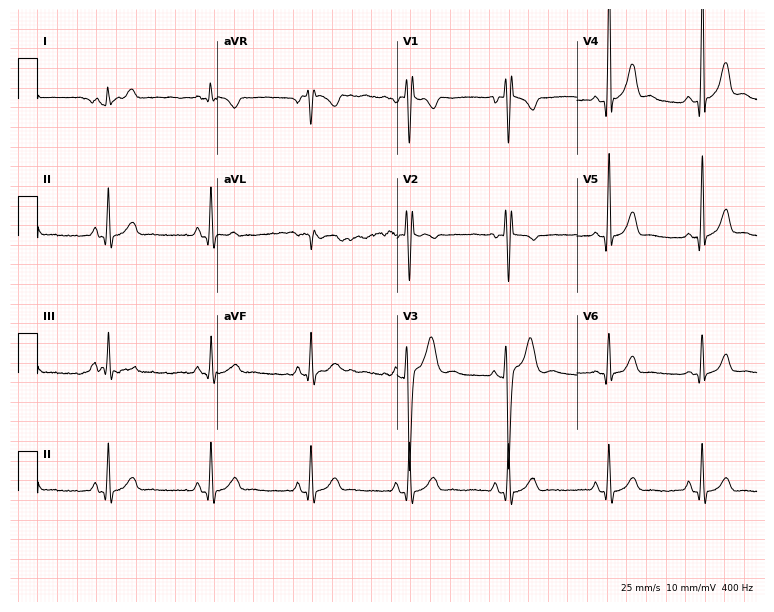
Standard 12-lead ECG recorded from a man, 19 years old. None of these six findings is recorded: first-degree AV block, right bundle branch block, left bundle branch block, sinus bradycardia, atrial fibrillation, sinus tachycardia. Only these six findings were labelled.